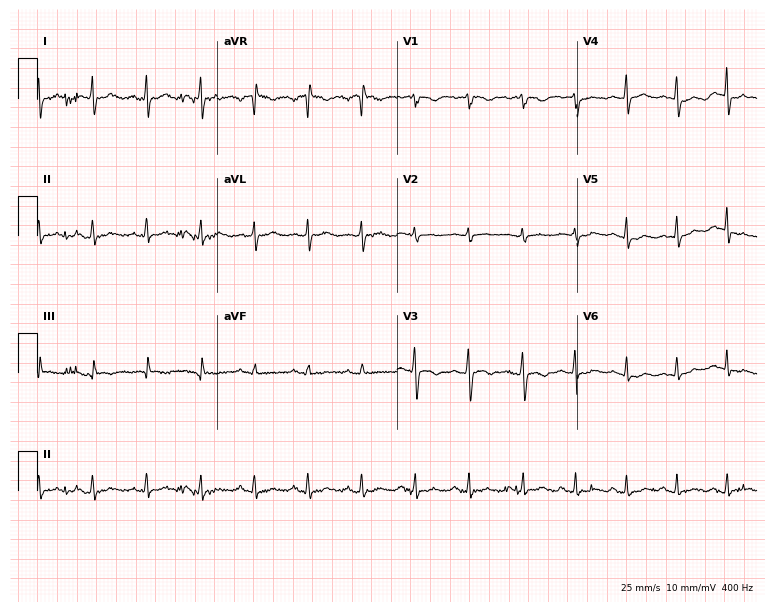
Resting 12-lead electrocardiogram. Patient: a 19-year-old woman. None of these six findings is recorded: first-degree AV block, right bundle branch block, left bundle branch block, sinus bradycardia, atrial fibrillation, sinus tachycardia. Only these six findings were labelled.